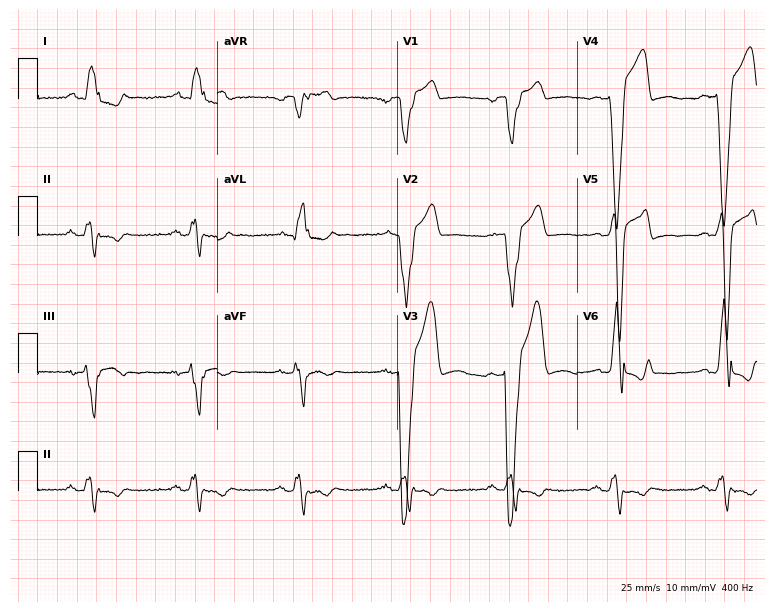
Standard 12-lead ECG recorded from a 68-year-old man. None of these six findings is recorded: first-degree AV block, right bundle branch block, left bundle branch block, sinus bradycardia, atrial fibrillation, sinus tachycardia. Only these six findings were labelled.